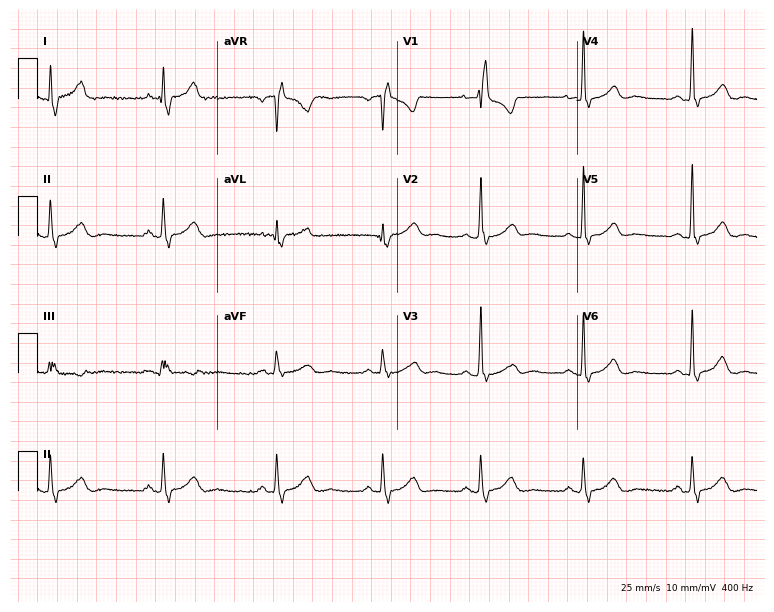
12-lead ECG (7.3-second recording at 400 Hz) from a 52-year-old female. Screened for six findings — first-degree AV block, right bundle branch block, left bundle branch block, sinus bradycardia, atrial fibrillation, sinus tachycardia — none is recorded.